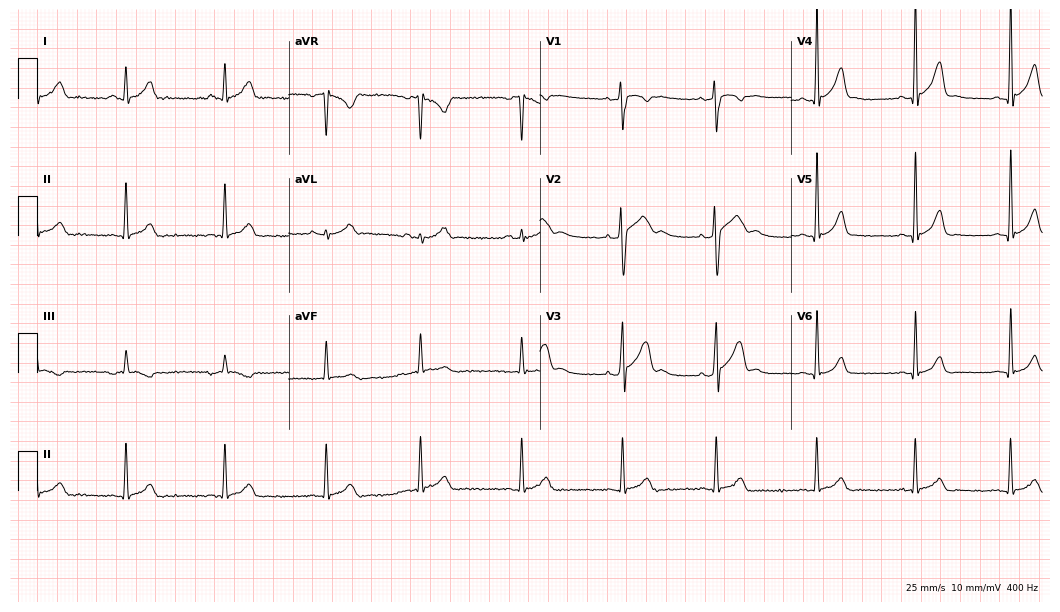
ECG (10.2-second recording at 400 Hz) — a male, 23 years old. Screened for six findings — first-degree AV block, right bundle branch block, left bundle branch block, sinus bradycardia, atrial fibrillation, sinus tachycardia — none is recorded.